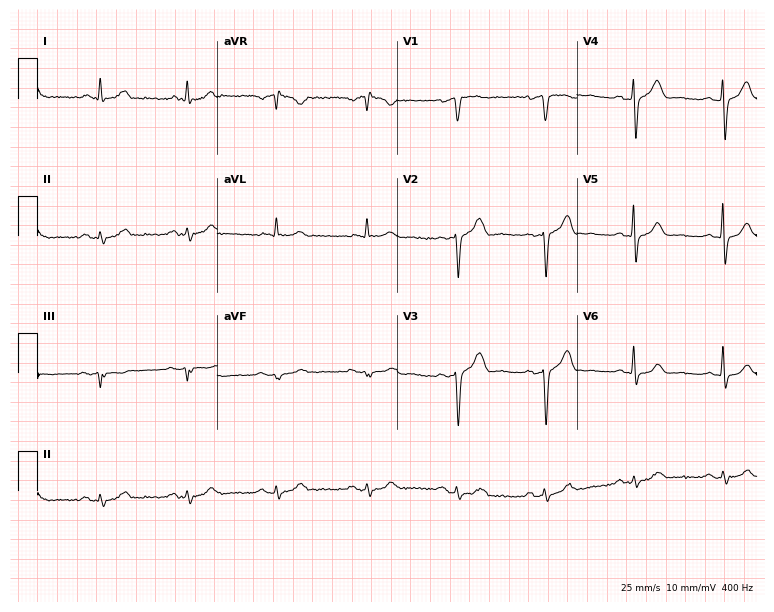
Standard 12-lead ECG recorded from a man, 61 years old. None of these six findings is recorded: first-degree AV block, right bundle branch block (RBBB), left bundle branch block (LBBB), sinus bradycardia, atrial fibrillation (AF), sinus tachycardia. Only these six findings were labelled.